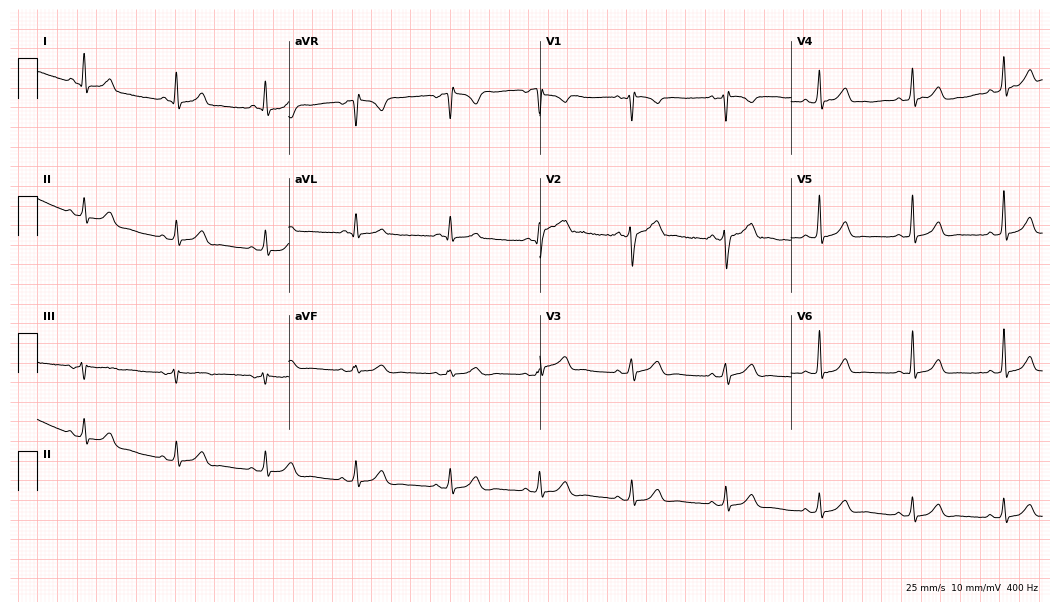
Electrocardiogram (10.2-second recording at 400 Hz), a male, 35 years old. Overall reading on record: normal ECG.